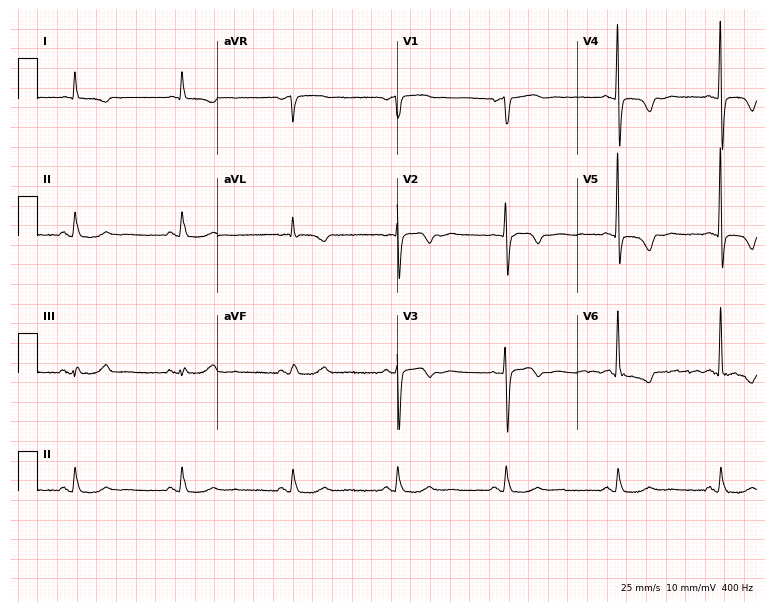
ECG (7.3-second recording at 400 Hz) — a female, 73 years old. Screened for six findings — first-degree AV block, right bundle branch block (RBBB), left bundle branch block (LBBB), sinus bradycardia, atrial fibrillation (AF), sinus tachycardia — none is recorded. Other findings, if any, are not listed.